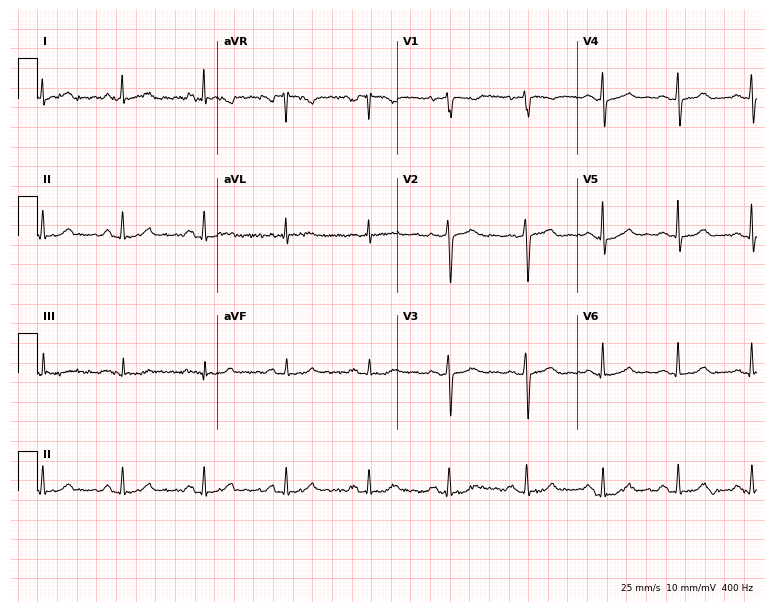
ECG (7.3-second recording at 400 Hz) — a female, 50 years old. Labelled as a normal ECG.